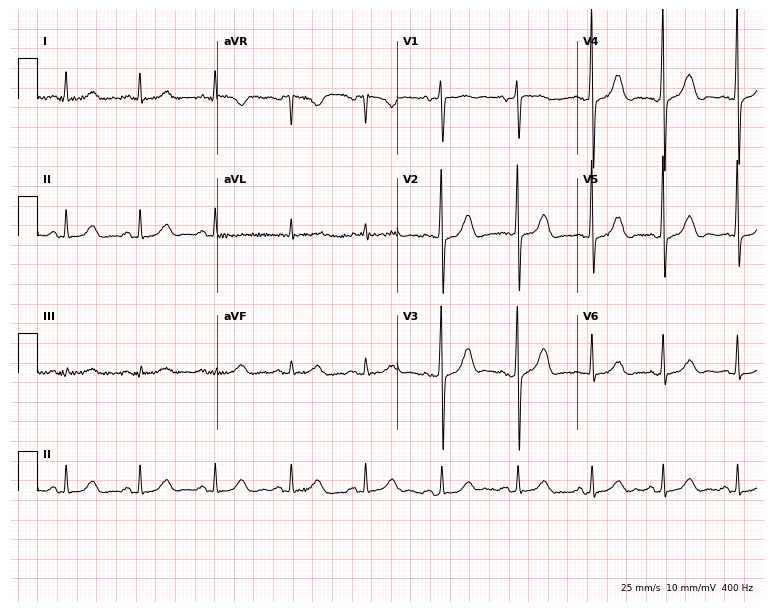
Standard 12-lead ECG recorded from a 69-year-old female patient. Read as a normal ECG.